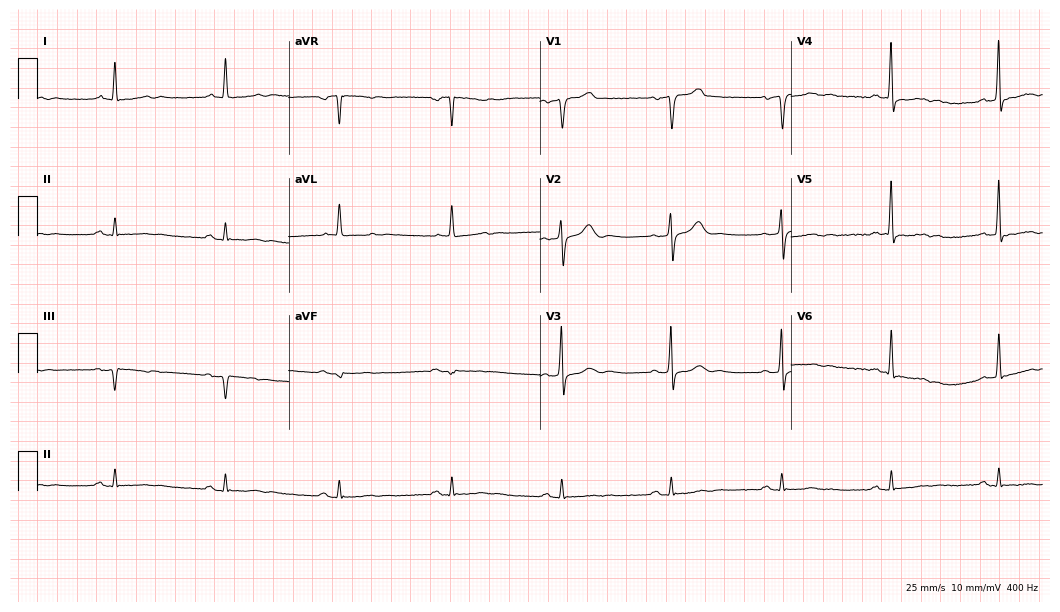
Resting 12-lead electrocardiogram. Patient: a male, 75 years old. None of these six findings is recorded: first-degree AV block, right bundle branch block (RBBB), left bundle branch block (LBBB), sinus bradycardia, atrial fibrillation (AF), sinus tachycardia. Other findings, if any, are not listed.